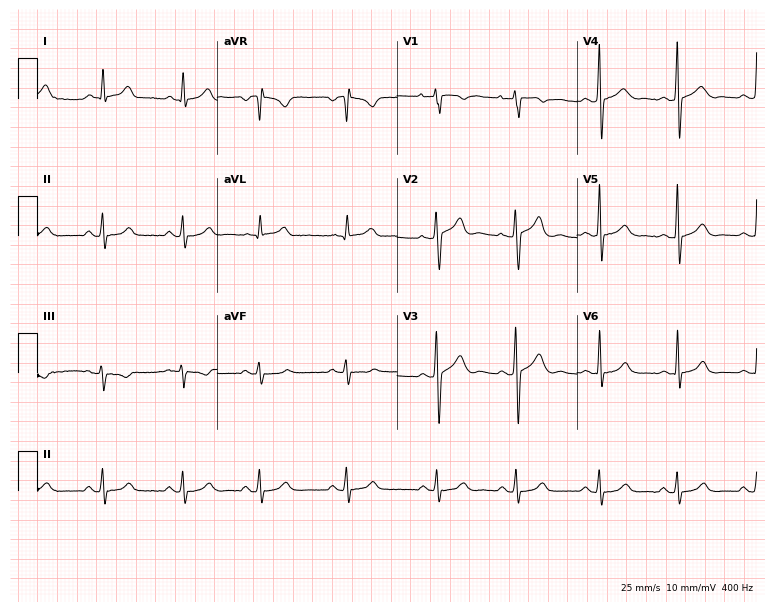
Standard 12-lead ECG recorded from a female patient, 23 years old (7.3-second recording at 400 Hz). None of these six findings is recorded: first-degree AV block, right bundle branch block (RBBB), left bundle branch block (LBBB), sinus bradycardia, atrial fibrillation (AF), sinus tachycardia. Other findings, if any, are not listed.